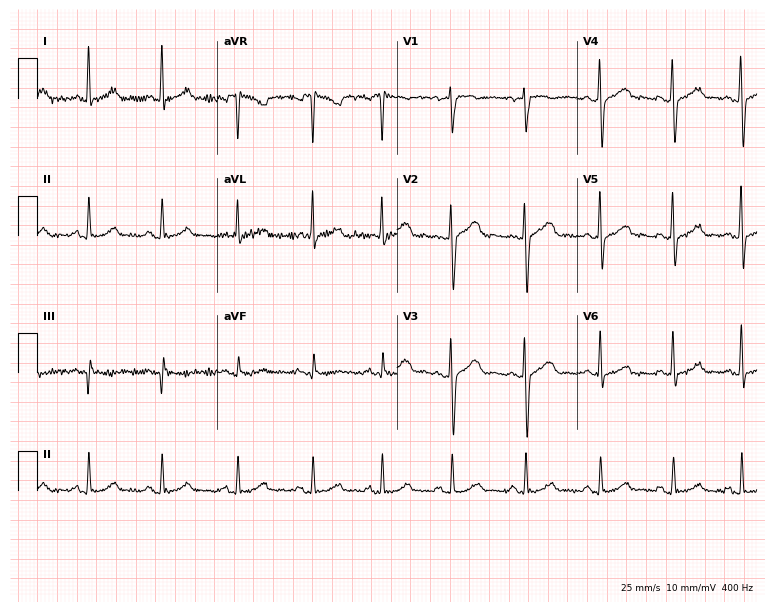
Resting 12-lead electrocardiogram (7.3-second recording at 400 Hz). Patient: a 45-year-old female. None of these six findings is recorded: first-degree AV block, right bundle branch block, left bundle branch block, sinus bradycardia, atrial fibrillation, sinus tachycardia.